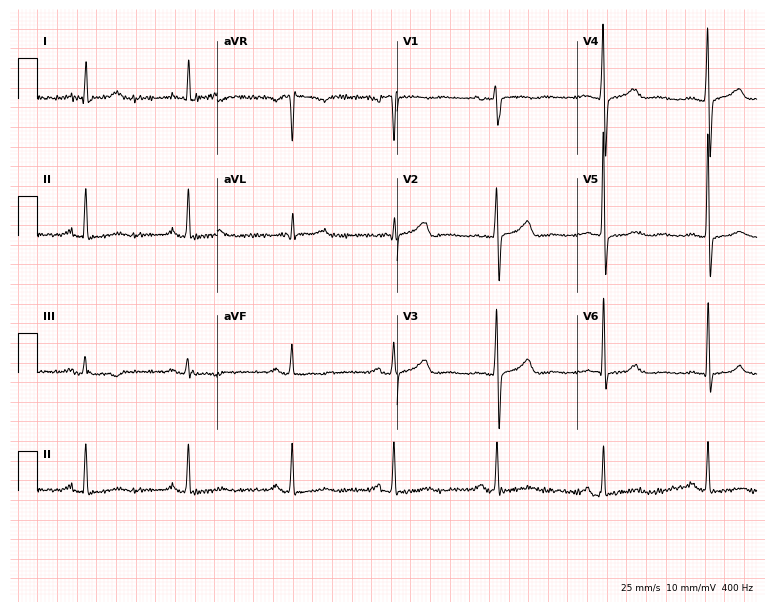
ECG (7.3-second recording at 400 Hz) — a woman, 59 years old. Screened for six findings — first-degree AV block, right bundle branch block, left bundle branch block, sinus bradycardia, atrial fibrillation, sinus tachycardia — none is recorded.